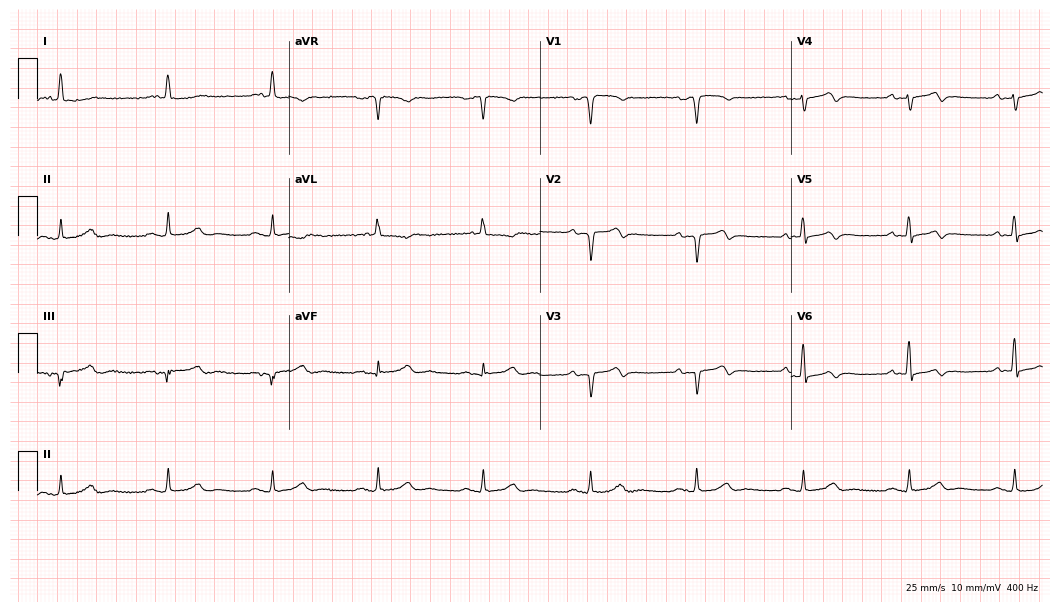
Electrocardiogram (10.2-second recording at 400 Hz), a 79-year-old male. Of the six screened findings (first-degree AV block, right bundle branch block, left bundle branch block, sinus bradycardia, atrial fibrillation, sinus tachycardia), none is recorded.